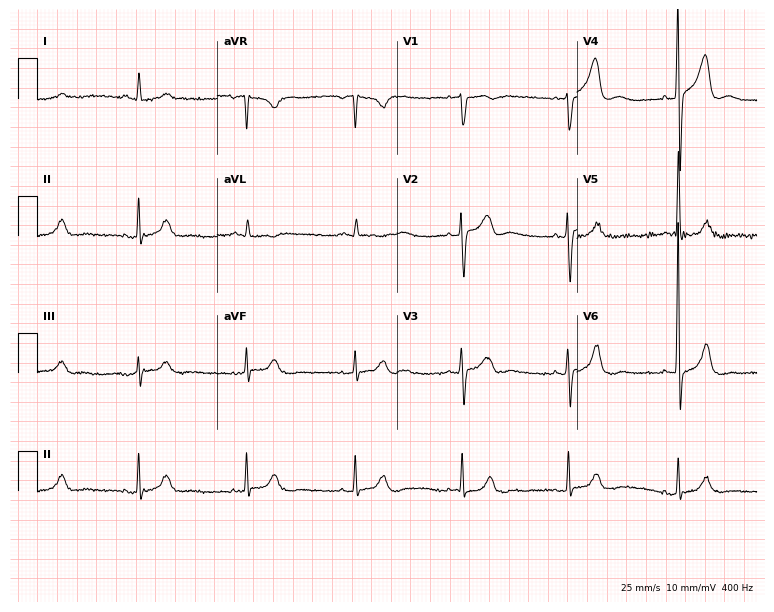
12-lead ECG from a man, 85 years old. No first-degree AV block, right bundle branch block, left bundle branch block, sinus bradycardia, atrial fibrillation or sinus tachycardia recorded for this tracing. Only these six findings were labelled.